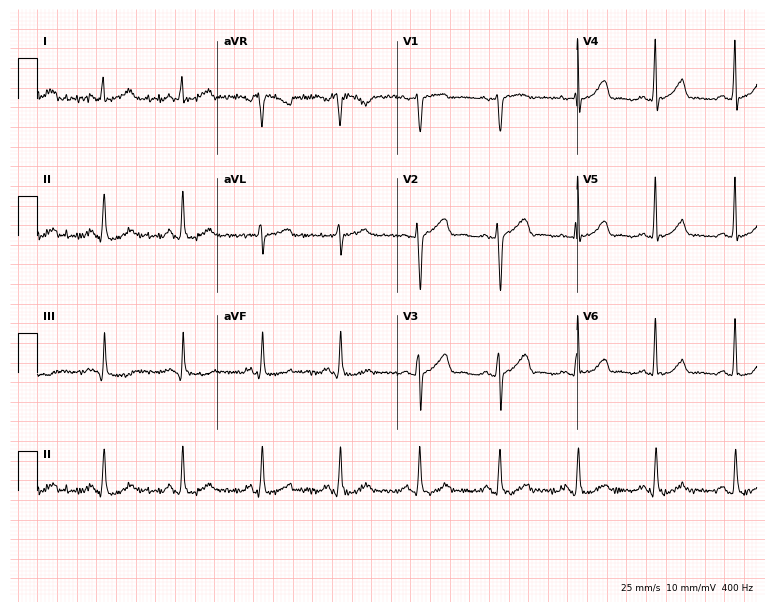
Standard 12-lead ECG recorded from a woman, 38 years old (7.3-second recording at 400 Hz). Read as a normal ECG.